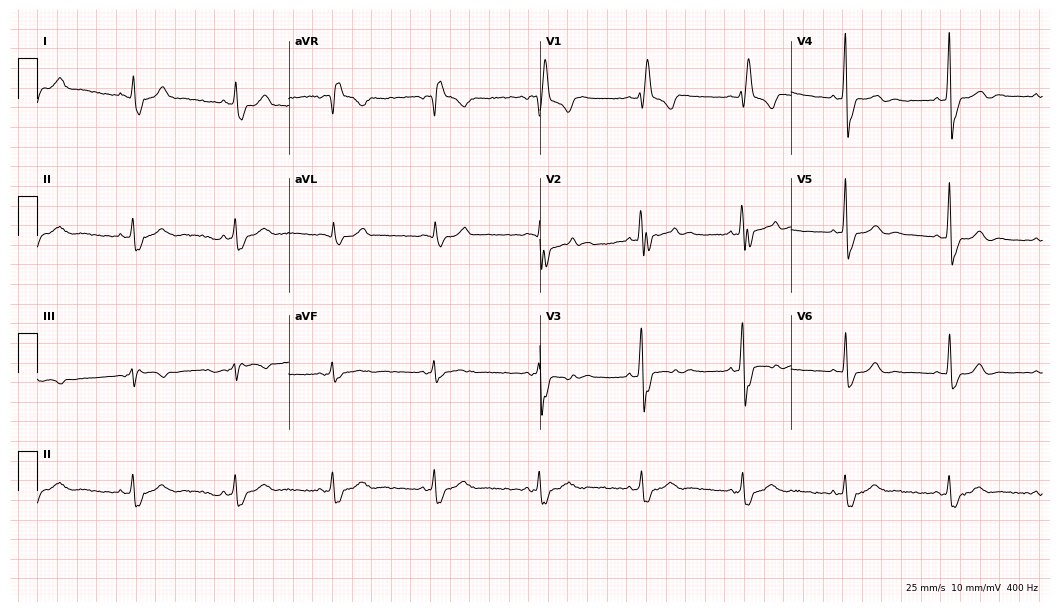
12-lead ECG (10.2-second recording at 400 Hz) from a 45-year-old man. Findings include right bundle branch block.